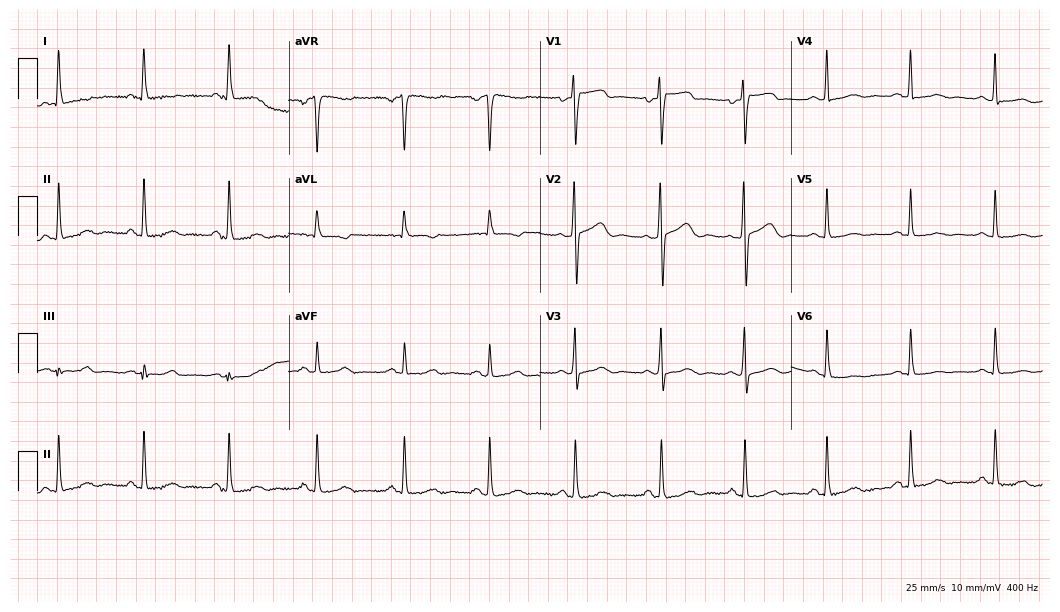
12-lead ECG from a 49-year-old female patient (10.2-second recording at 400 Hz). Recorded interpretation: within normal limits.